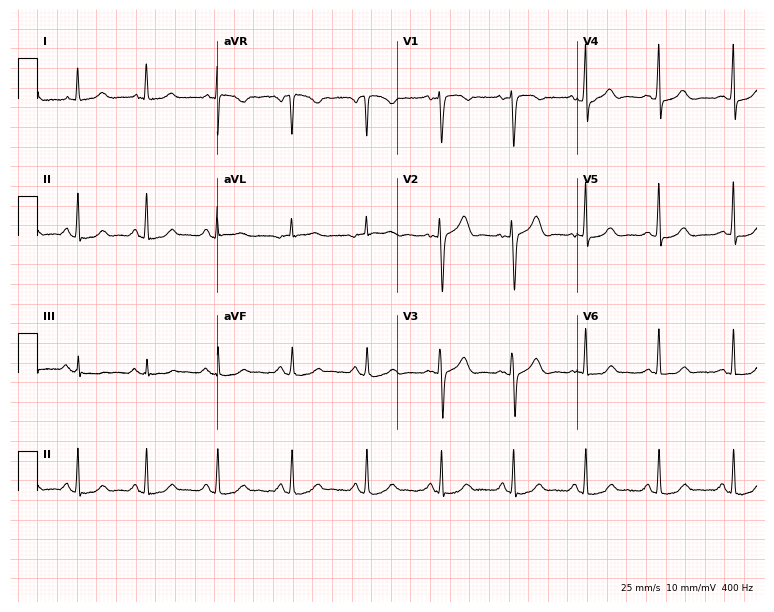
12-lead ECG (7.3-second recording at 400 Hz) from a 36-year-old woman. Screened for six findings — first-degree AV block, right bundle branch block, left bundle branch block, sinus bradycardia, atrial fibrillation, sinus tachycardia — none is recorded. Other findings, if any, are not listed.